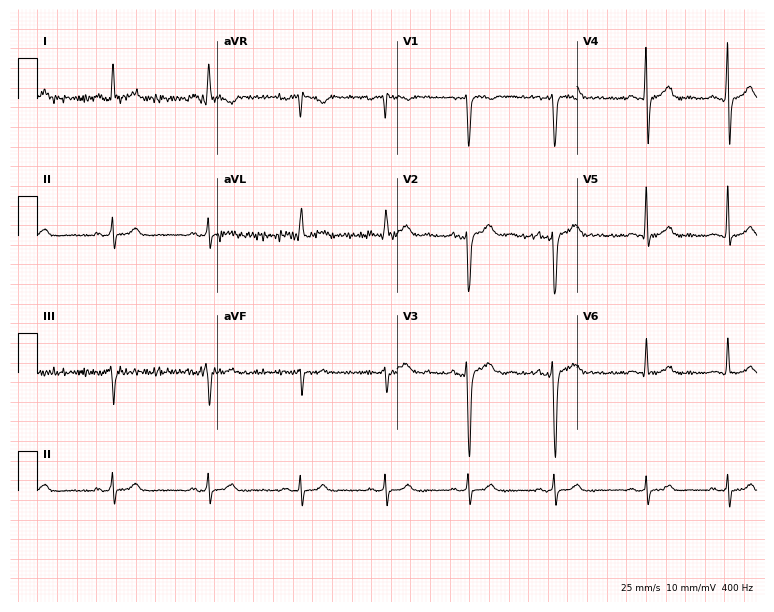
Resting 12-lead electrocardiogram (7.3-second recording at 400 Hz). Patient: a 35-year-old male. None of these six findings is recorded: first-degree AV block, right bundle branch block, left bundle branch block, sinus bradycardia, atrial fibrillation, sinus tachycardia. Other findings, if any, are not listed.